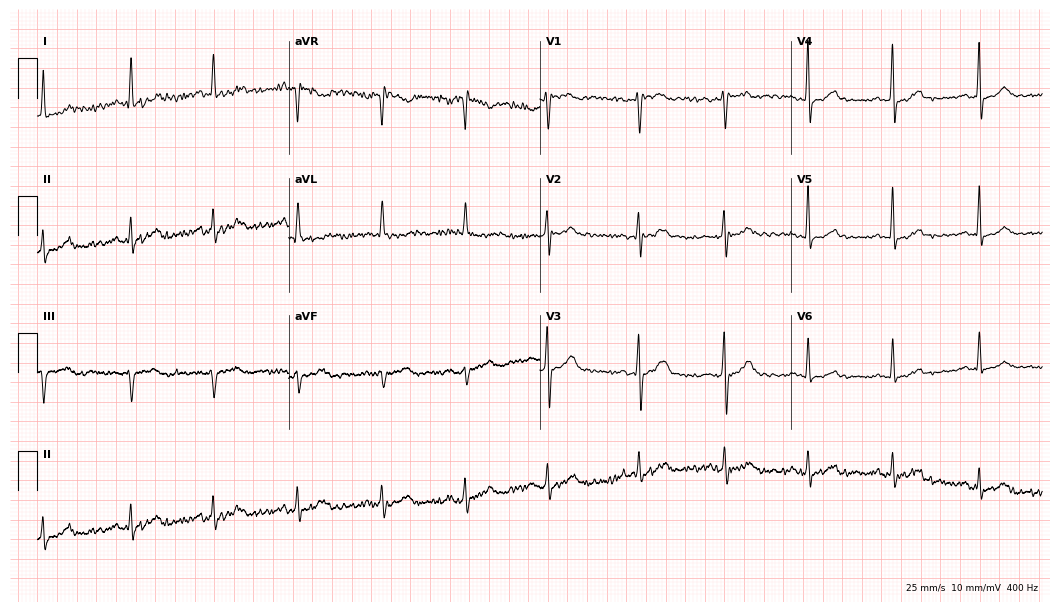
12-lead ECG from a 40-year-old male patient. No first-degree AV block, right bundle branch block, left bundle branch block, sinus bradycardia, atrial fibrillation or sinus tachycardia recorded for this tracing. Findings outside these six are not listed.